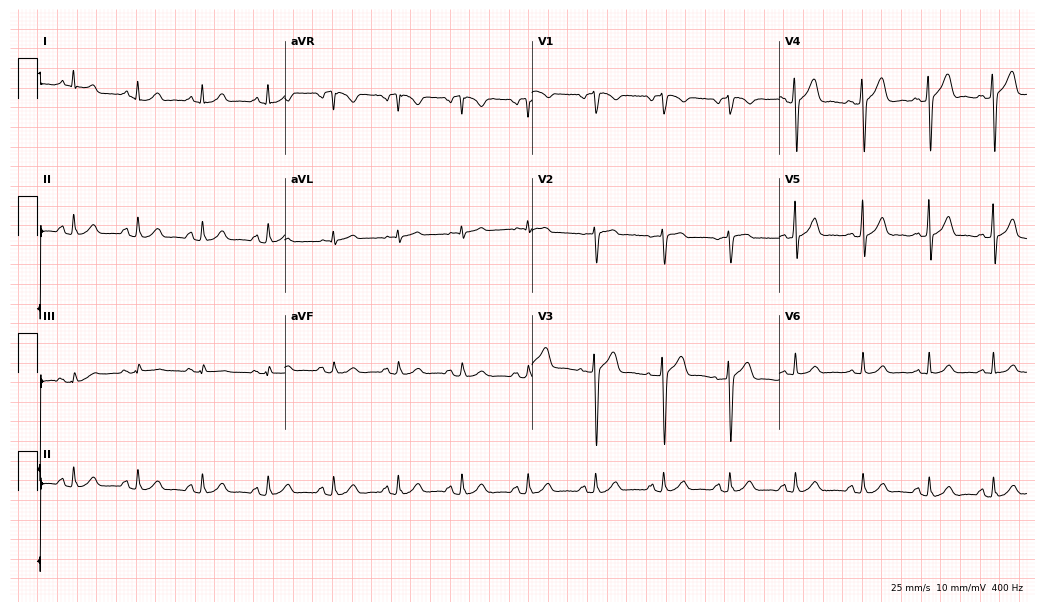
Standard 12-lead ECG recorded from a male, 38 years old (10.1-second recording at 400 Hz). None of these six findings is recorded: first-degree AV block, right bundle branch block, left bundle branch block, sinus bradycardia, atrial fibrillation, sinus tachycardia. Other findings, if any, are not listed.